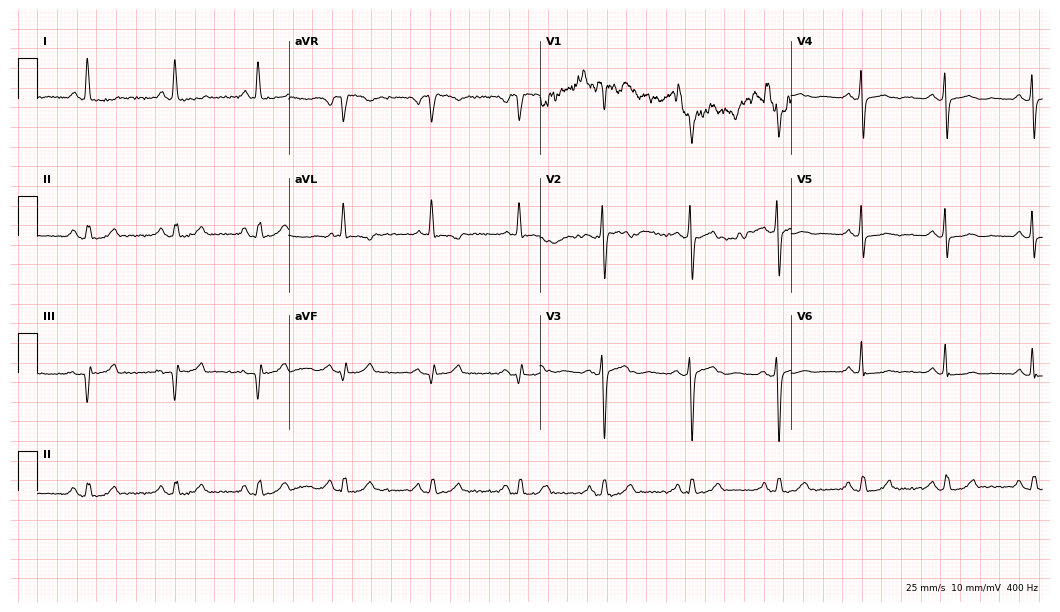
Resting 12-lead electrocardiogram. Patient: a female, 28 years old. None of these six findings is recorded: first-degree AV block, right bundle branch block, left bundle branch block, sinus bradycardia, atrial fibrillation, sinus tachycardia. Findings outside these six are not listed.